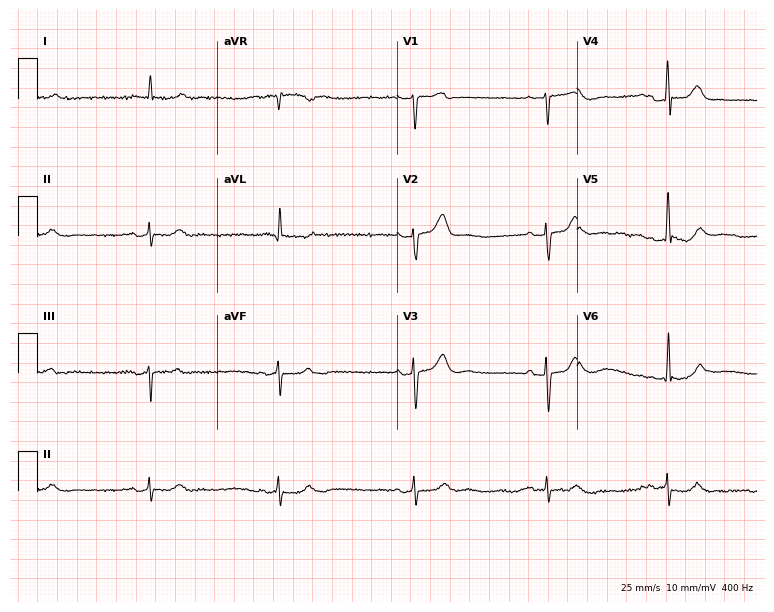
12-lead ECG from a 63-year-old male patient. Findings include sinus bradycardia (a sinus rate of 50 beats per minute or less).